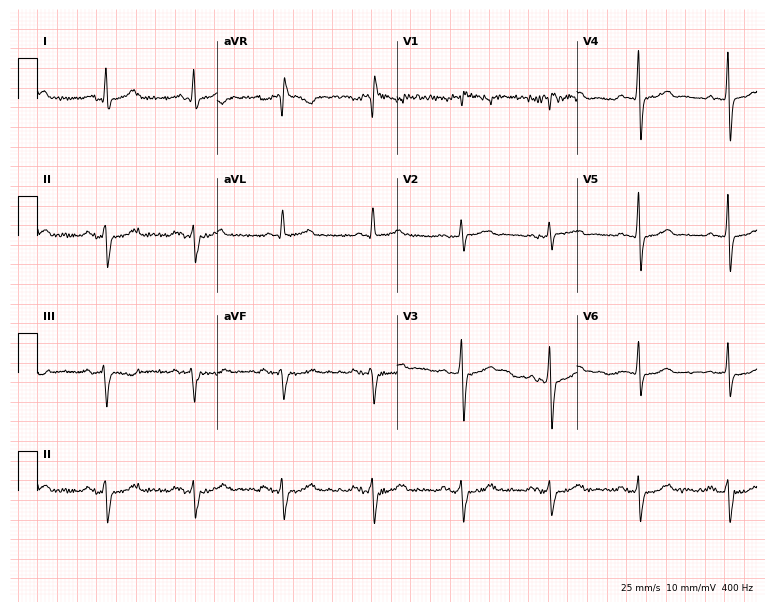
12-lead ECG from a 58-year-old male patient. No first-degree AV block, right bundle branch block, left bundle branch block, sinus bradycardia, atrial fibrillation or sinus tachycardia recorded for this tracing. Findings outside these six are not listed.